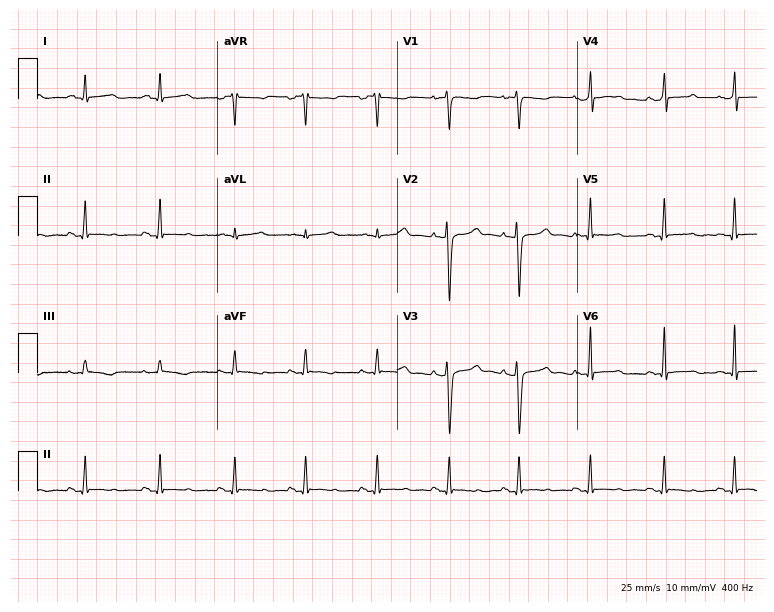
12-lead ECG from a 29-year-old female. No first-degree AV block, right bundle branch block, left bundle branch block, sinus bradycardia, atrial fibrillation or sinus tachycardia recorded for this tracing. Other findings, if any, are not listed.